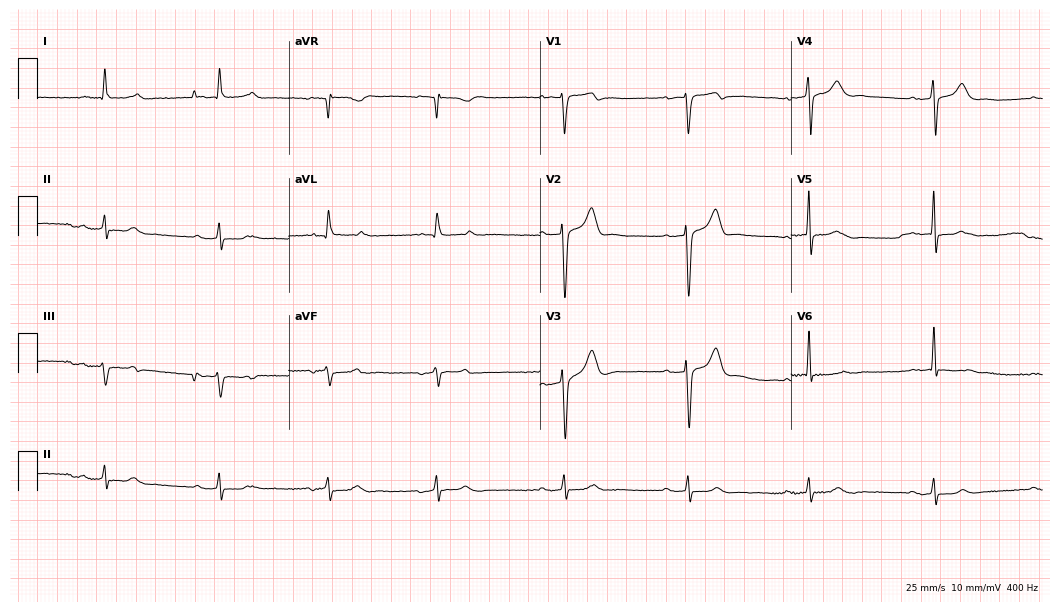
12-lead ECG from a 77-year-old male. Shows sinus bradycardia (a sinus rate of 50 beats per minute or less).